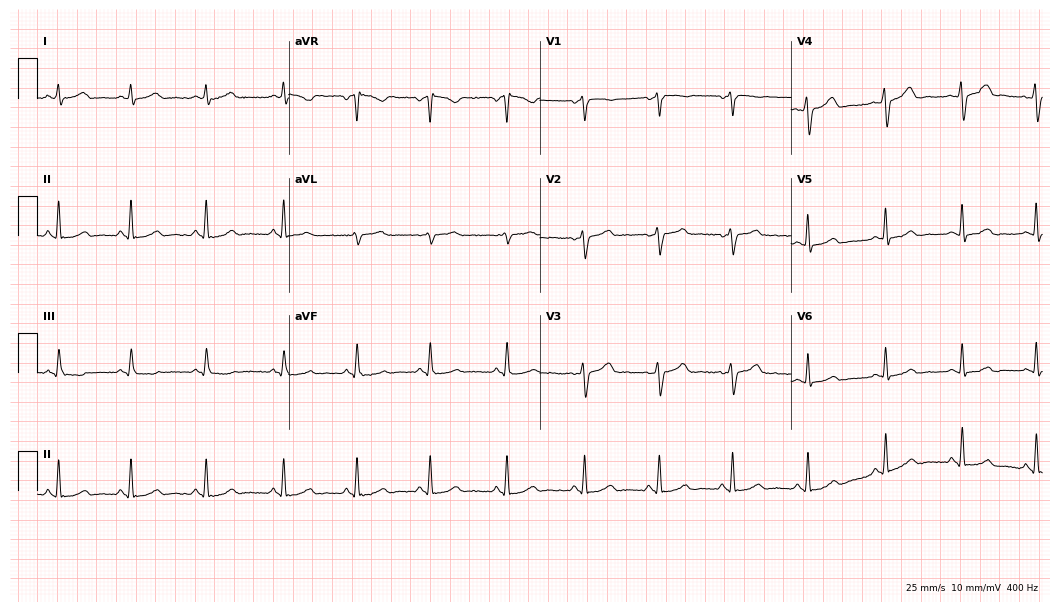
12-lead ECG (10.2-second recording at 400 Hz) from a woman, 43 years old. Labelled as a normal ECG.